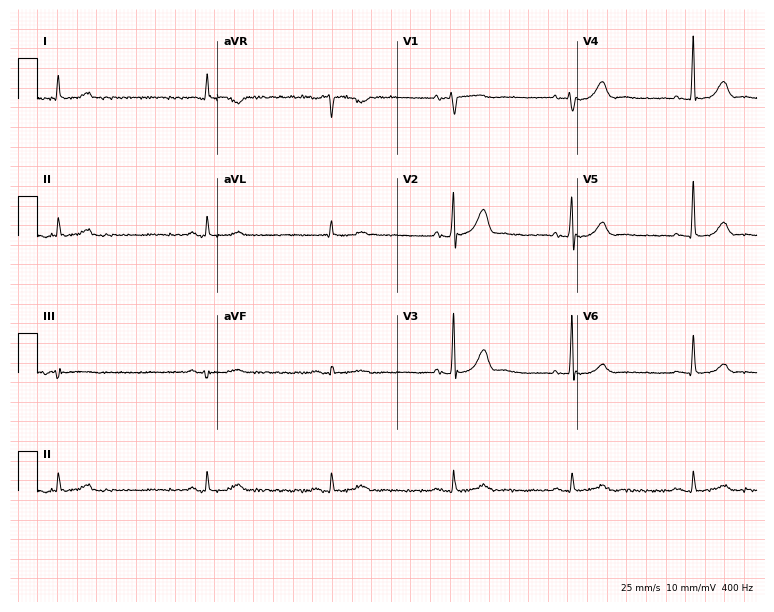
12-lead ECG (7.3-second recording at 400 Hz) from a male, 69 years old. Labelled as a normal ECG.